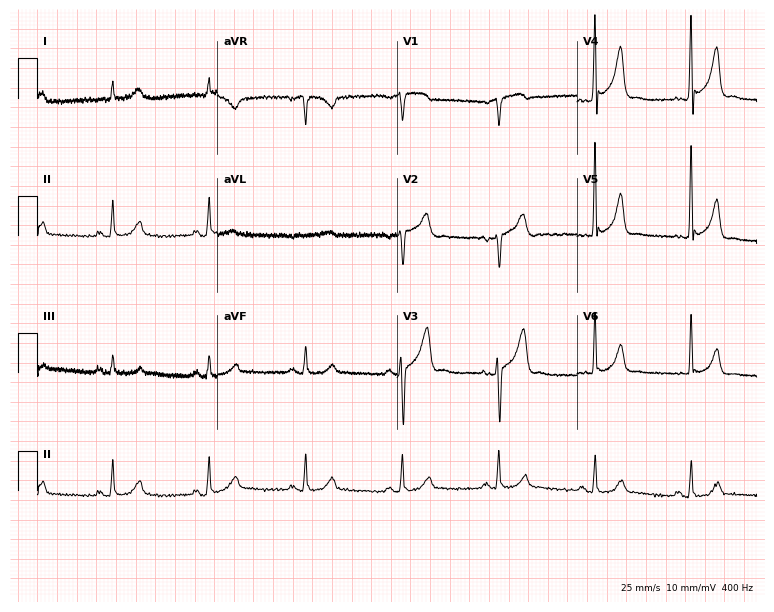
Standard 12-lead ECG recorded from a 76-year-old man. Read as a normal ECG.